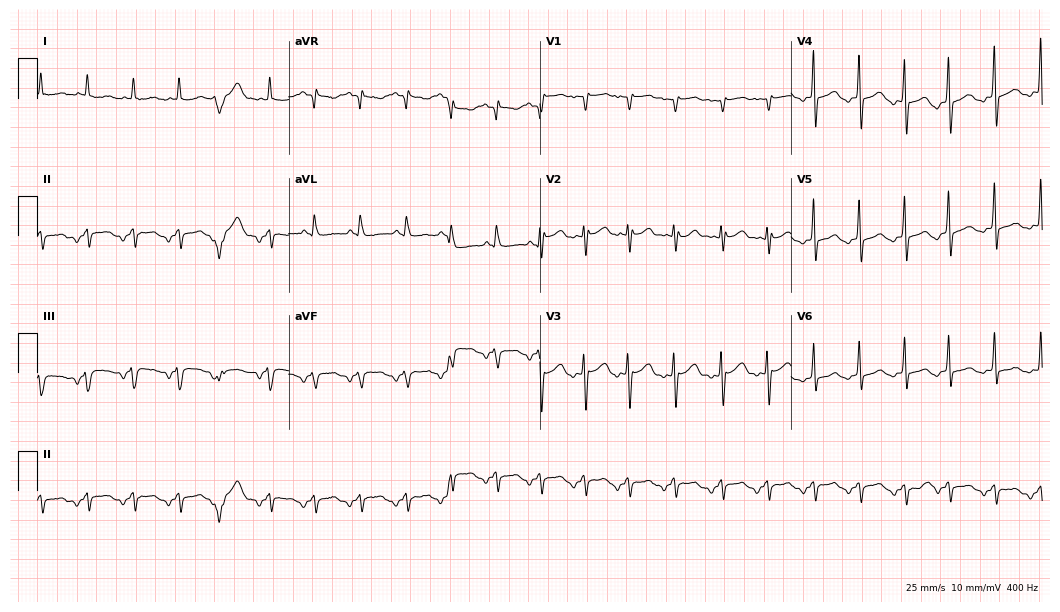
Resting 12-lead electrocardiogram (10.2-second recording at 400 Hz). Patient: a male, 70 years old. The tracing shows sinus tachycardia (a sinus rate of 100 beats per minute or more).